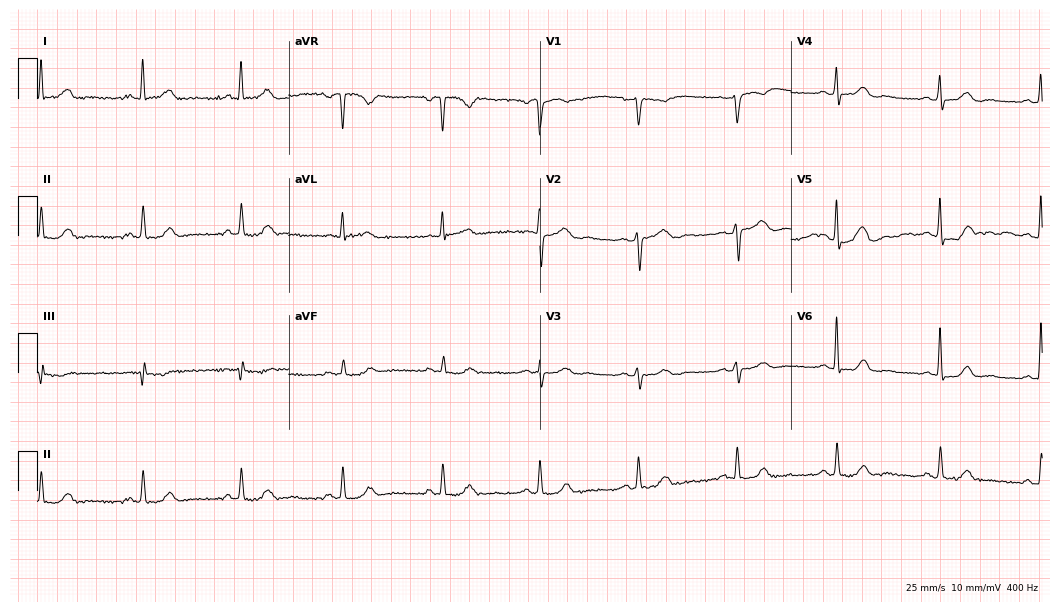
Resting 12-lead electrocardiogram. Patient: a 59-year-old female. Read as a normal ECG.